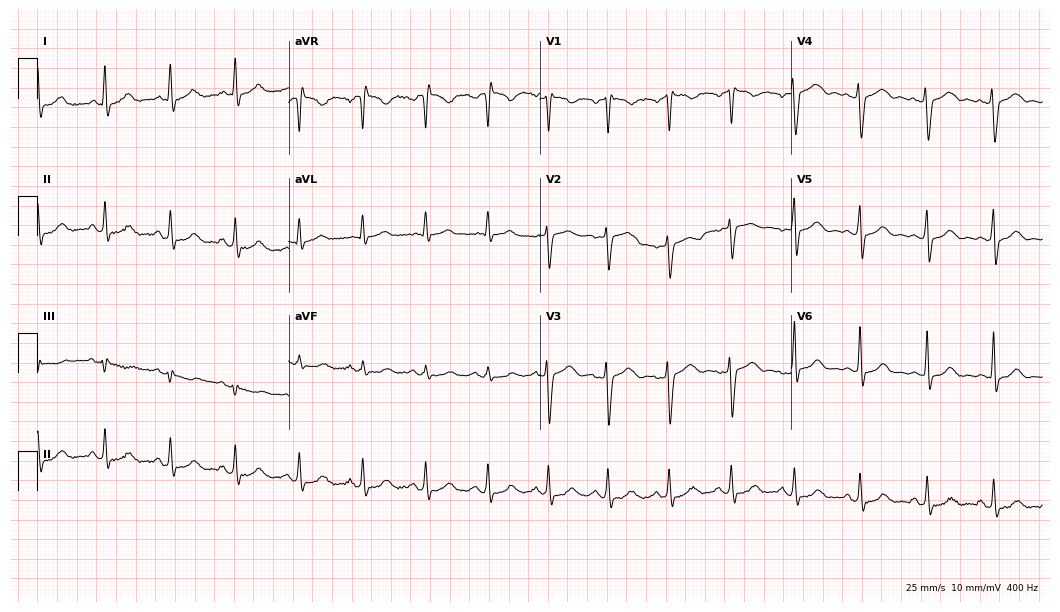
ECG — a female, 44 years old. Labelled as a normal ECG.